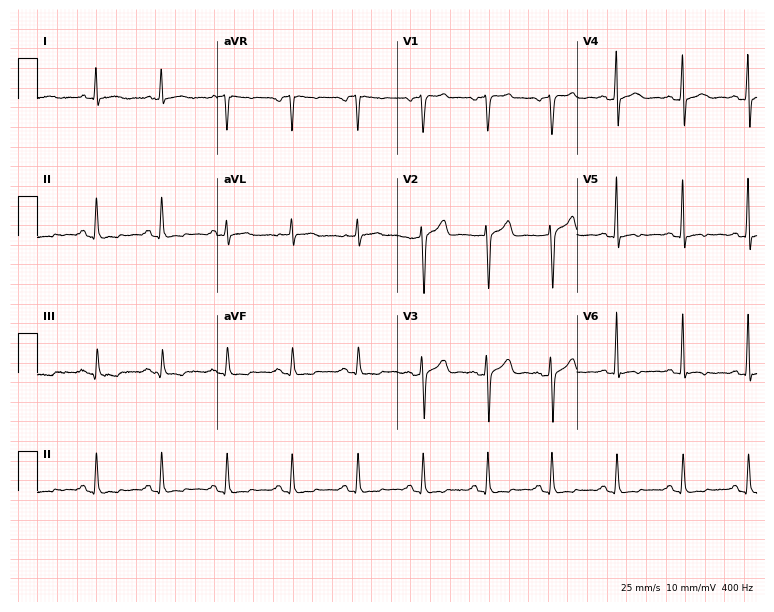
Electrocardiogram (7.3-second recording at 400 Hz), a 48-year-old male. Of the six screened findings (first-degree AV block, right bundle branch block, left bundle branch block, sinus bradycardia, atrial fibrillation, sinus tachycardia), none is recorded. Only these six findings were labelled.